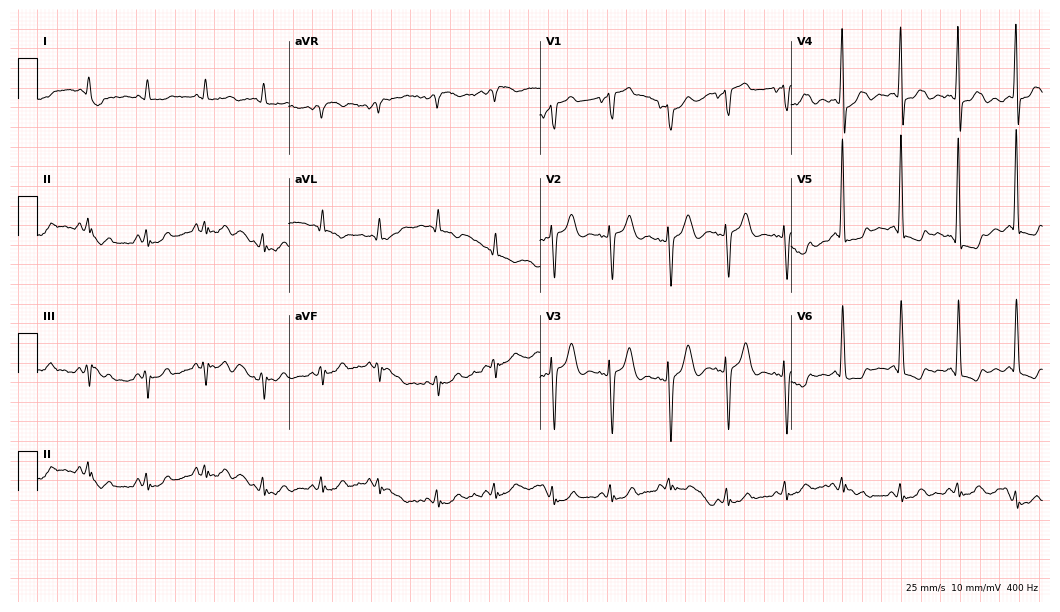
Electrocardiogram, a woman, 85 years old. Interpretation includes sinus tachycardia (a sinus rate of 100 beats per minute or more).